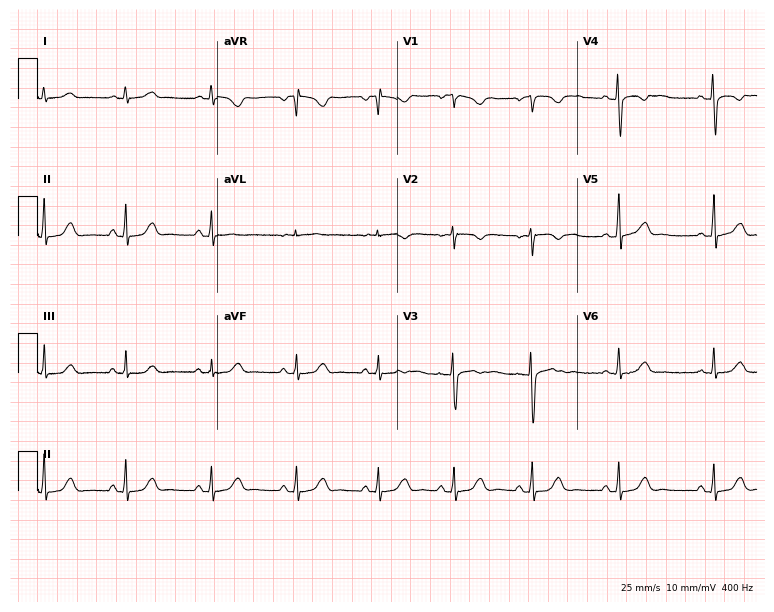
ECG (7.3-second recording at 400 Hz) — a woman, 24 years old. Screened for six findings — first-degree AV block, right bundle branch block (RBBB), left bundle branch block (LBBB), sinus bradycardia, atrial fibrillation (AF), sinus tachycardia — none is recorded. Only these six findings were labelled.